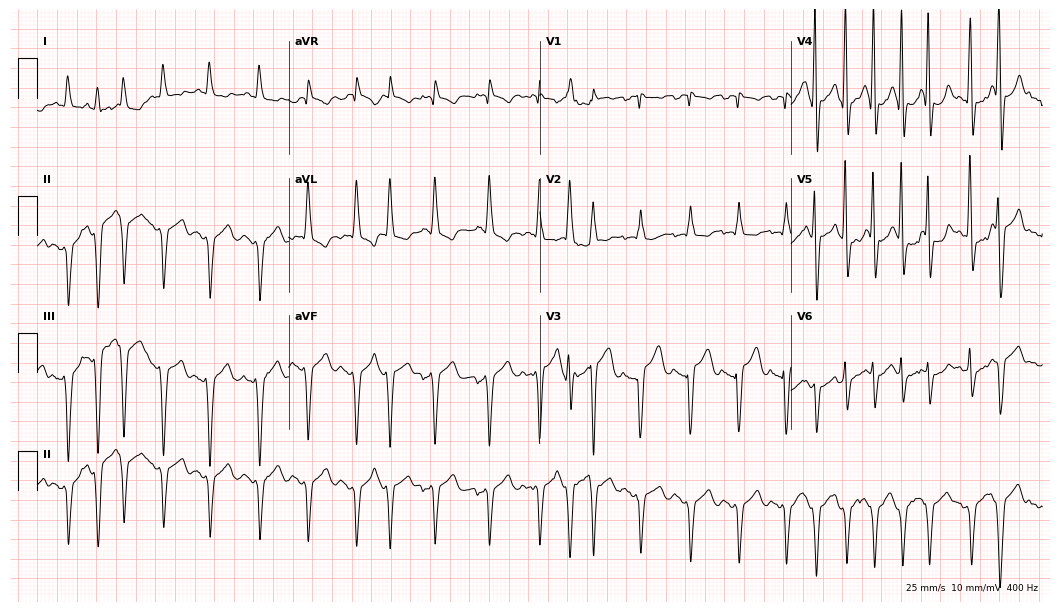
Electrocardiogram, a male, 72 years old. Of the six screened findings (first-degree AV block, right bundle branch block (RBBB), left bundle branch block (LBBB), sinus bradycardia, atrial fibrillation (AF), sinus tachycardia), none is recorded. Other findings, if any, are not listed.